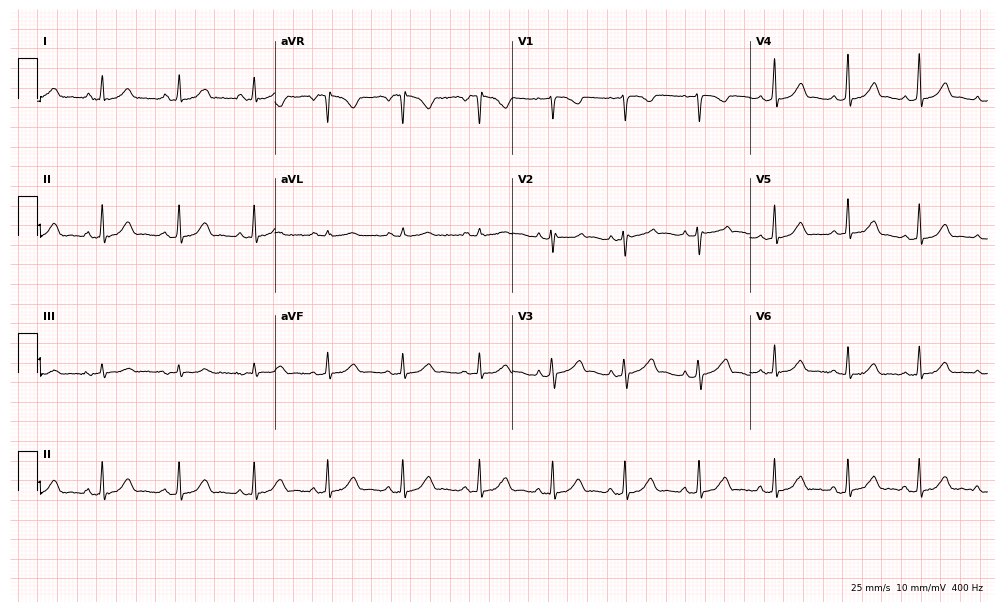
12-lead ECG from a 24-year-old woman. No first-degree AV block, right bundle branch block (RBBB), left bundle branch block (LBBB), sinus bradycardia, atrial fibrillation (AF) or sinus tachycardia recorded for this tracing.